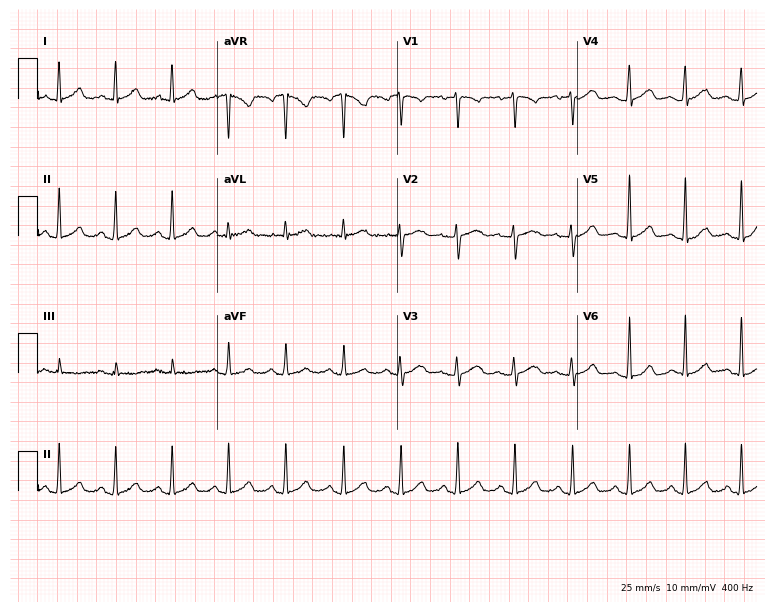
12-lead ECG from a woman, 39 years old. No first-degree AV block, right bundle branch block (RBBB), left bundle branch block (LBBB), sinus bradycardia, atrial fibrillation (AF) or sinus tachycardia recorded for this tracing.